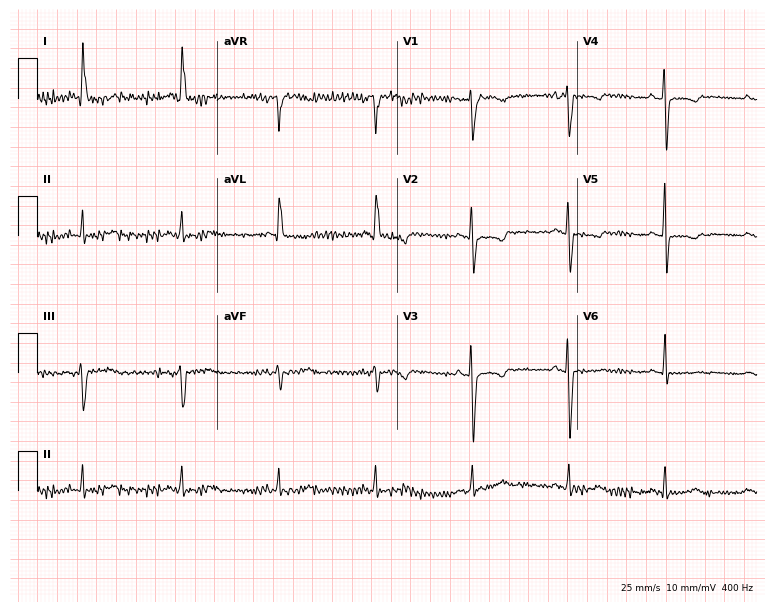
Electrocardiogram, a 69-year-old female patient. Of the six screened findings (first-degree AV block, right bundle branch block, left bundle branch block, sinus bradycardia, atrial fibrillation, sinus tachycardia), none is recorded.